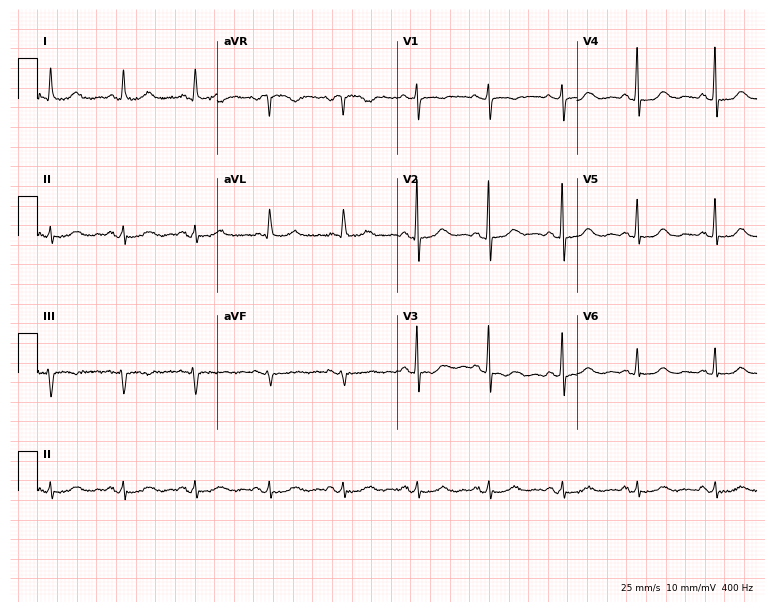
Resting 12-lead electrocardiogram. Patient: a female, 82 years old. None of these six findings is recorded: first-degree AV block, right bundle branch block, left bundle branch block, sinus bradycardia, atrial fibrillation, sinus tachycardia. Findings outside these six are not listed.